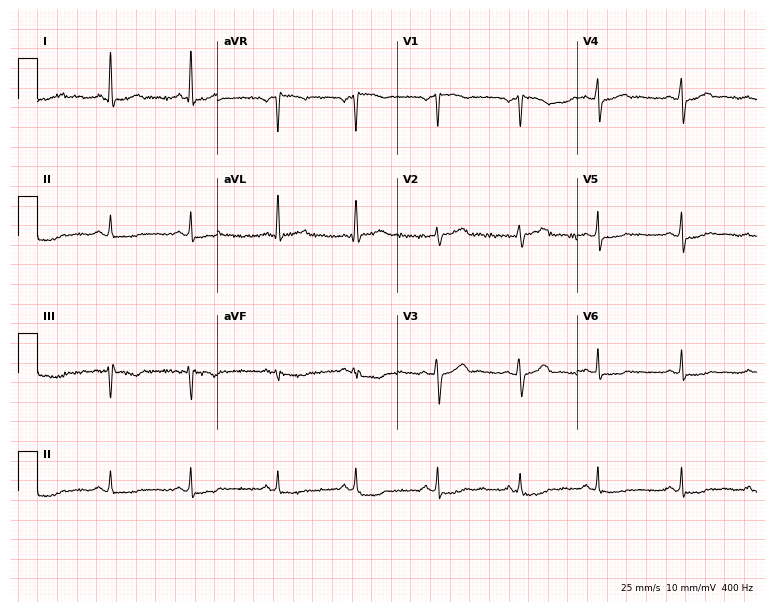
Resting 12-lead electrocardiogram (7.3-second recording at 400 Hz). Patient: a male, 40 years old. None of these six findings is recorded: first-degree AV block, right bundle branch block (RBBB), left bundle branch block (LBBB), sinus bradycardia, atrial fibrillation (AF), sinus tachycardia.